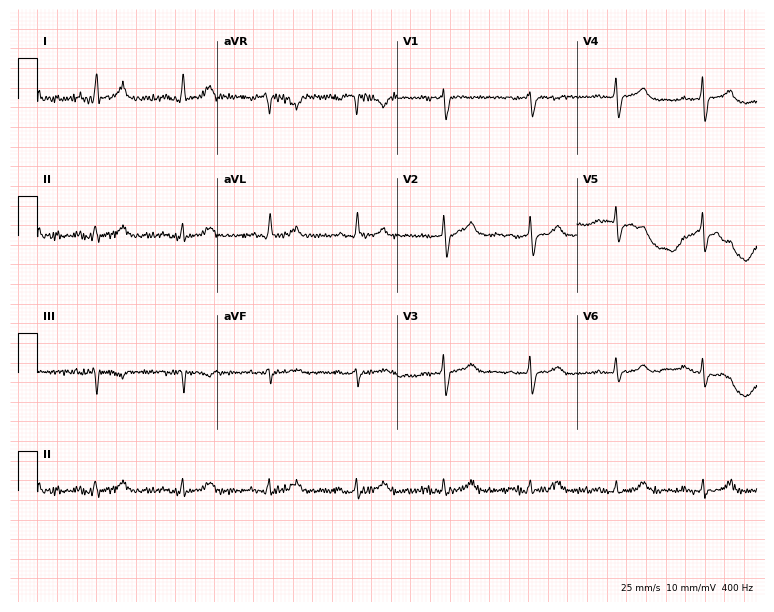
12-lead ECG from an 84-year-old female (7.3-second recording at 400 Hz). No first-degree AV block, right bundle branch block, left bundle branch block, sinus bradycardia, atrial fibrillation or sinus tachycardia recorded for this tracing. Other findings, if any, are not listed.